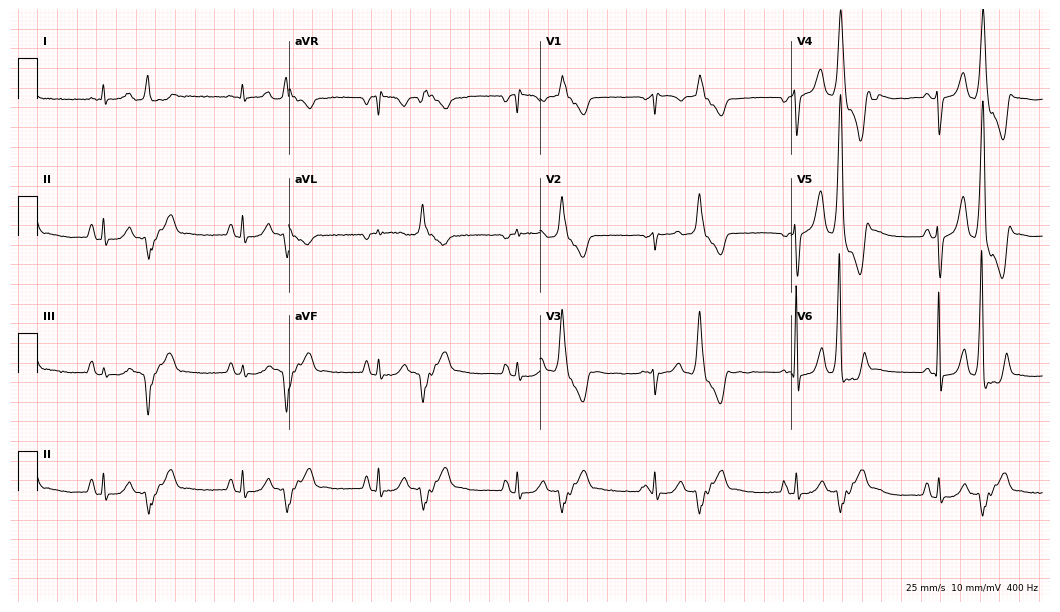
Standard 12-lead ECG recorded from a 73-year-old man (10.2-second recording at 400 Hz). None of these six findings is recorded: first-degree AV block, right bundle branch block (RBBB), left bundle branch block (LBBB), sinus bradycardia, atrial fibrillation (AF), sinus tachycardia. Other findings, if any, are not listed.